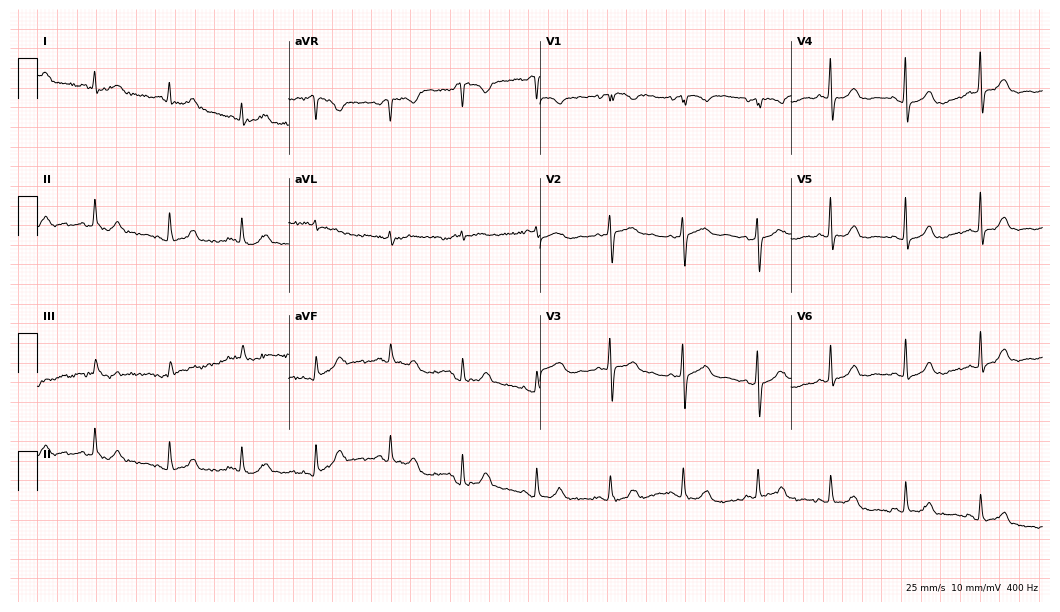
12-lead ECG from a 74-year-old female patient. Labelled as a normal ECG.